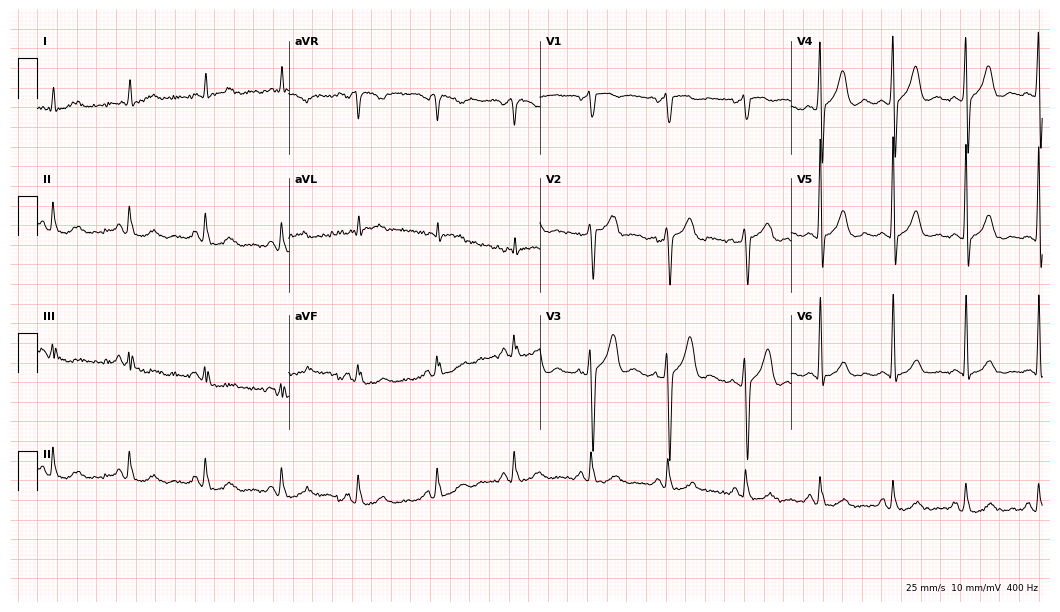
Resting 12-lead electrocardiogram (10.2-second recording at 400 Hz). Patient: a male, 65 years old. Read as a normal ECG.